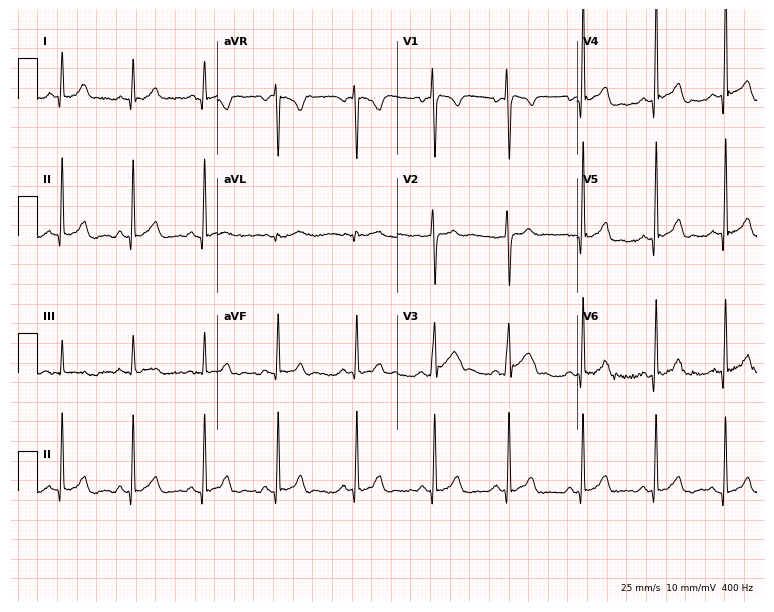
12-lead ECG from a male patient, 18 years old. Labelled as a normal ECG.